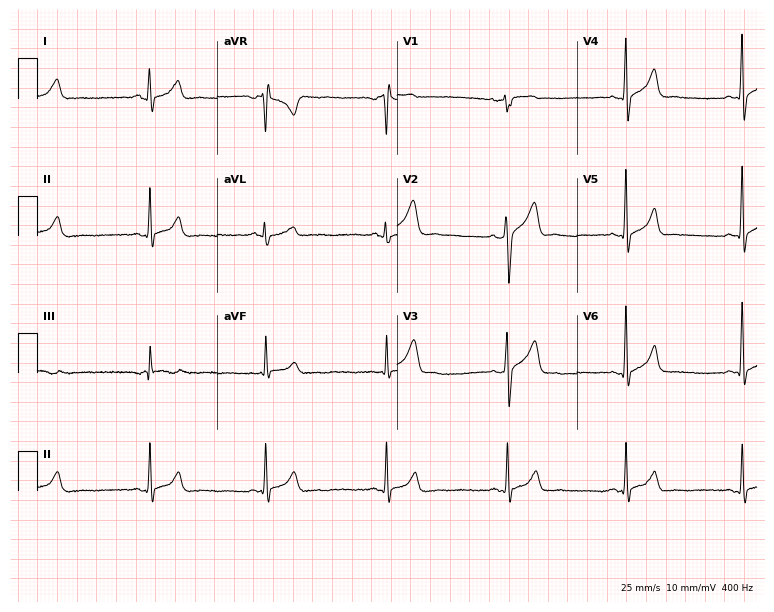
Standard 12-lead ECG recorded from a 29-year-old male patient (7.3-second recording at 400 Hz). The tracing shows sinus bradycardia (a sinus rate of 50 beats per minute or less).